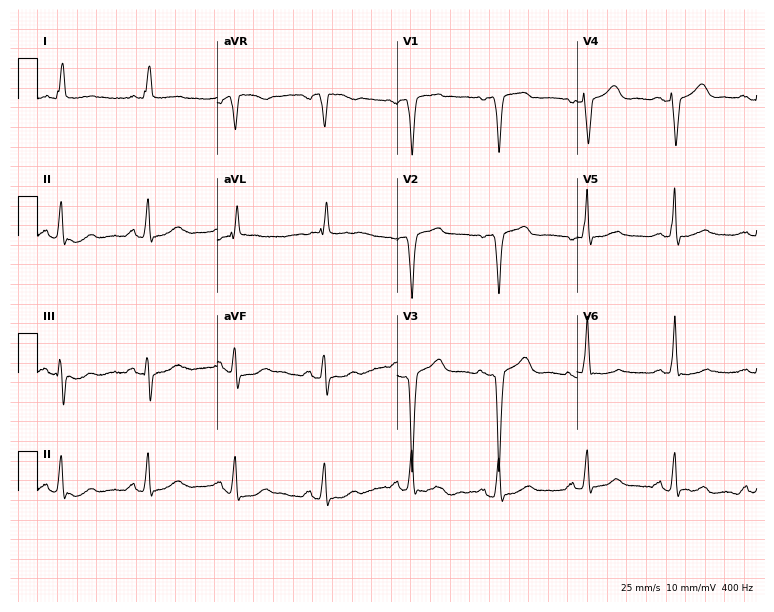
ECG — a man, 67 years old. Screened for six findings — first-degree AV block, right bundle branch block, left bundle branch block, sinus bradycardia, atrial fibrillation, sinus tachycardia — none is recorded.